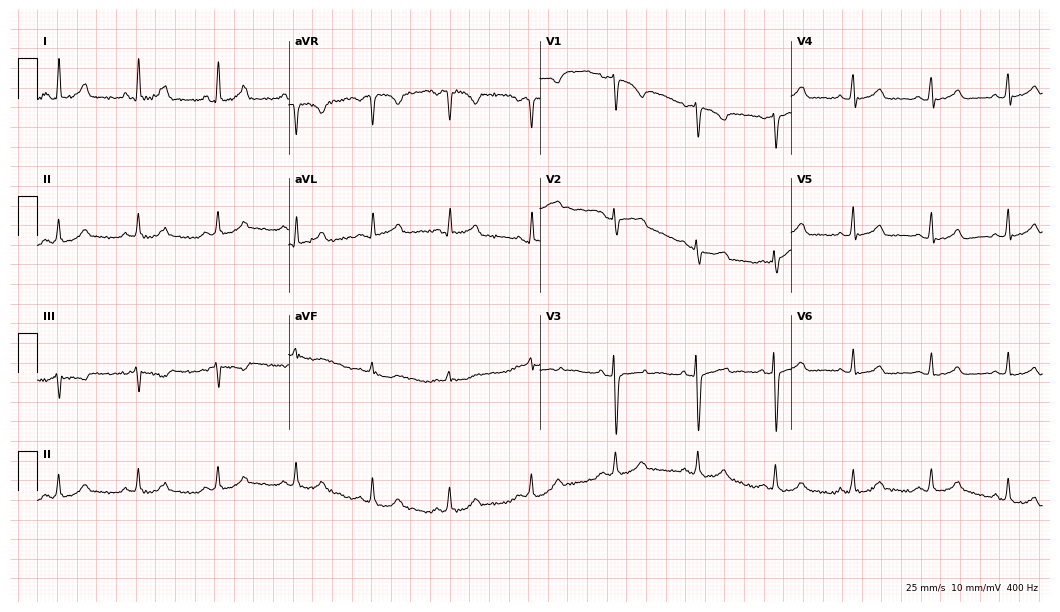
Resting 12-lead electrocardiogram (10.2-second recording at 400 Hz). Patient: a 39-year-old female. Read as a normal ECG.